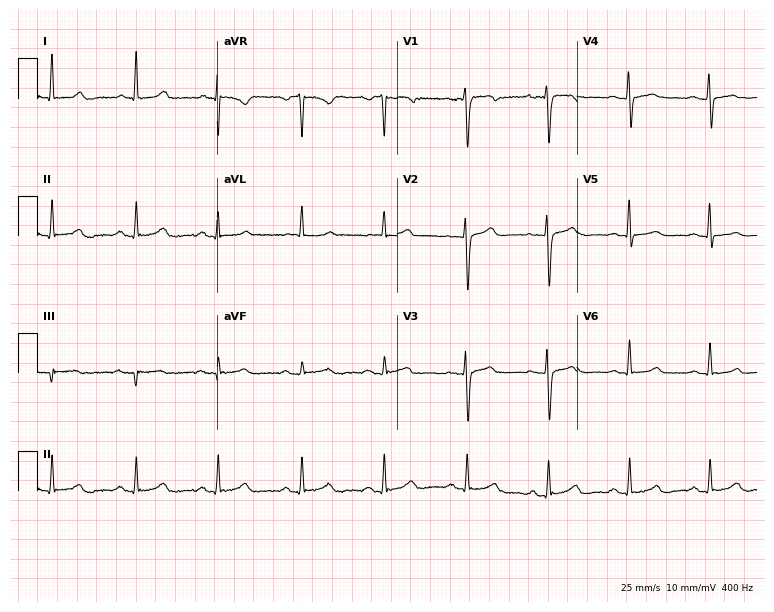
12-lead ECG from a 46-year-old female (7.3-second recording at 400 Hz). No first-degree AV block, right bundle branch block, left bundle branch block, sinus bradycardia, atrial fibrillation or sinus tachycardia recorded for this tracing. Findings outside these six are not listed.